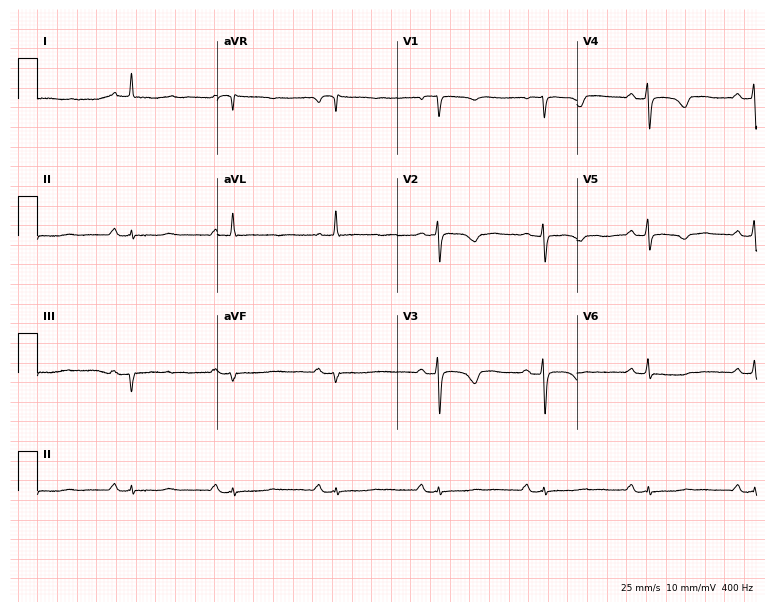
12-lead ECG from a 57-year-old woman. Screened for six findings — first-degree AV block, right bundle branch block (RBBB), left bundle branch block (LBBB), sinus bradycardia, atrial fibrillation (AF), sinus tachycardia — none is recorded. Other findings, if any, are not listed.